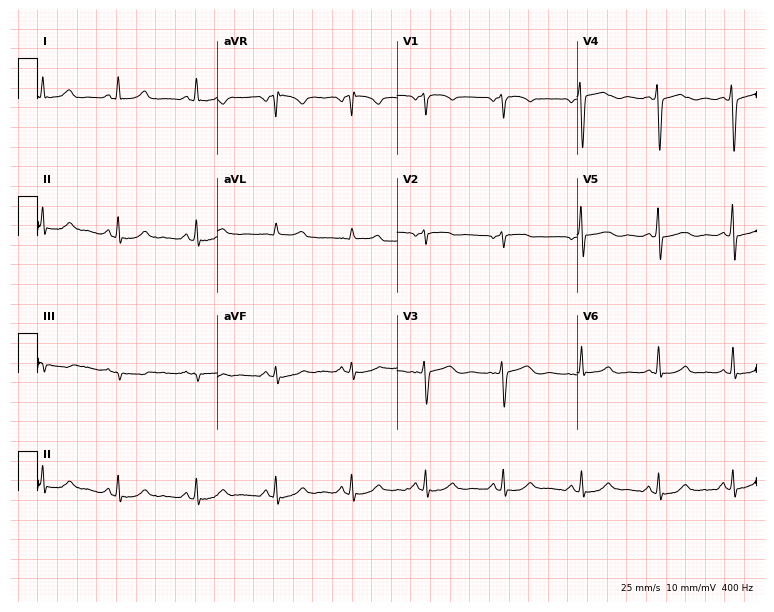
Electrocardiogram, a female, 40 years old. Of the six screened findings (first-degree AV block, right bundle branch block, left bundle branch block, sinus bradycardia, atrial fibrillation, sinus tachycardia), none is recorded. Other findings, if any, are not listed.